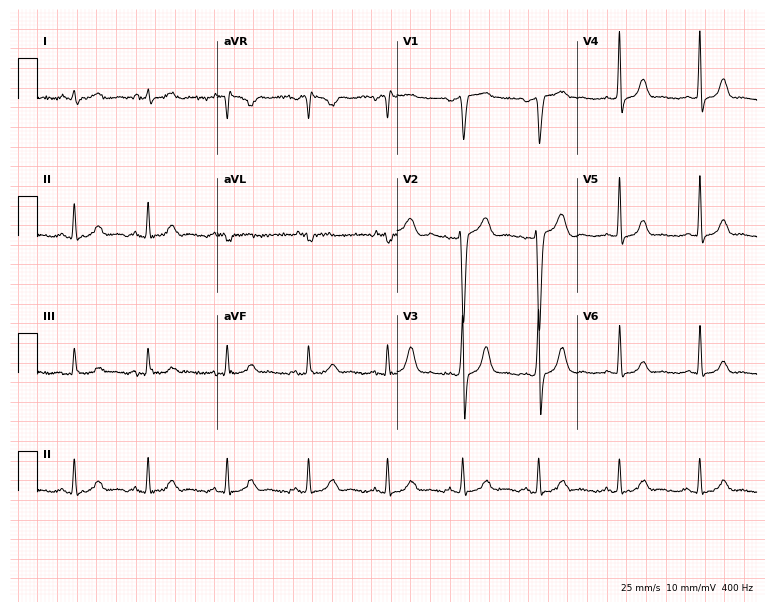
12-lead ECG (7.3-second recording at 400 Hz) from a man, 24 years old. Labelled as a normal ECG.